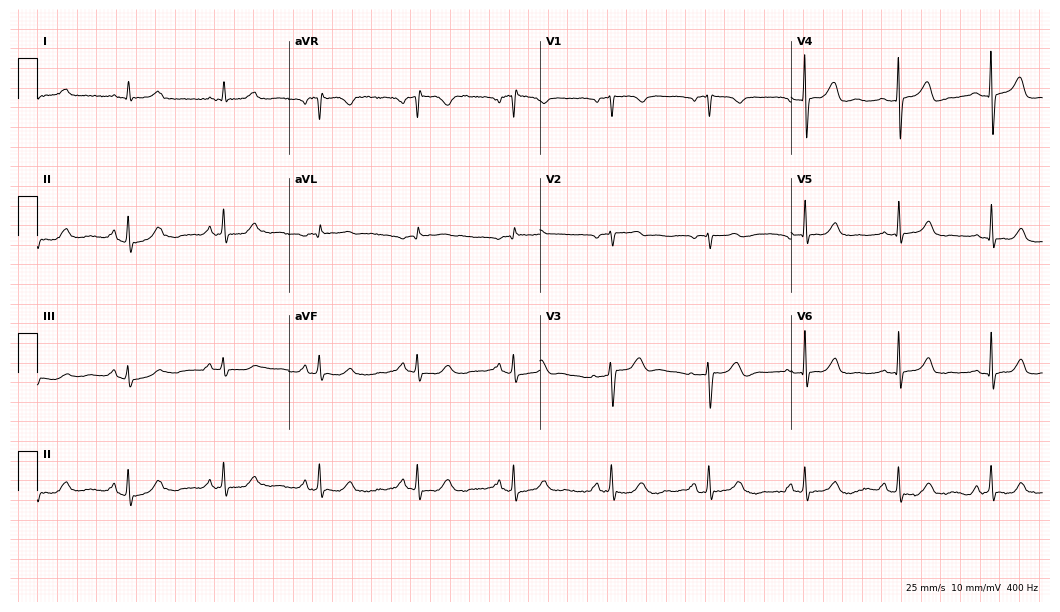
12-lead ECG from a 52-year-old female. Labelled as a normal ECG.